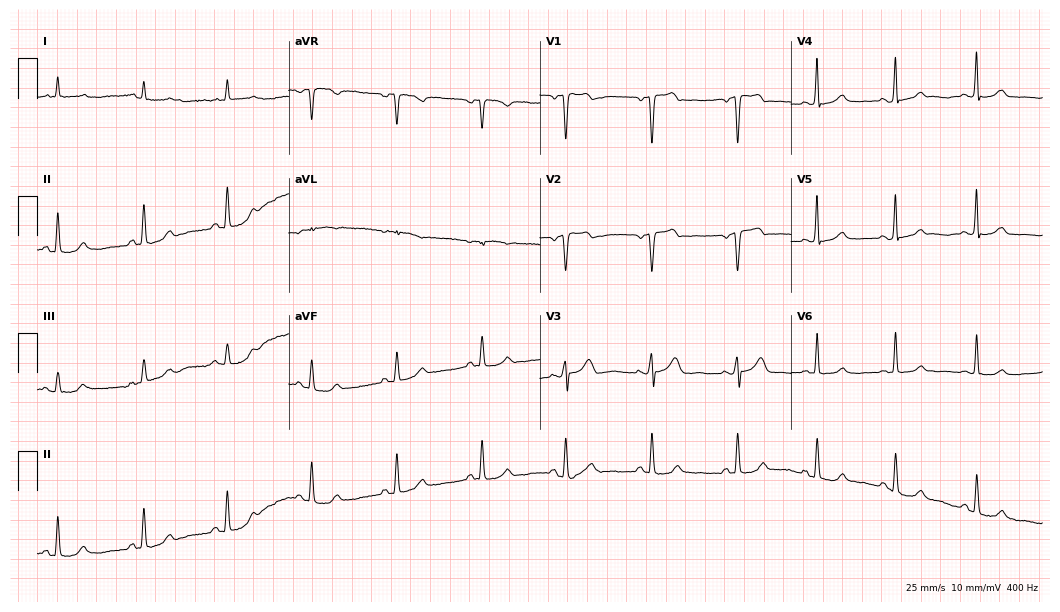
ECG — a 58-year-old female patient. Labelled as a normal ECG.